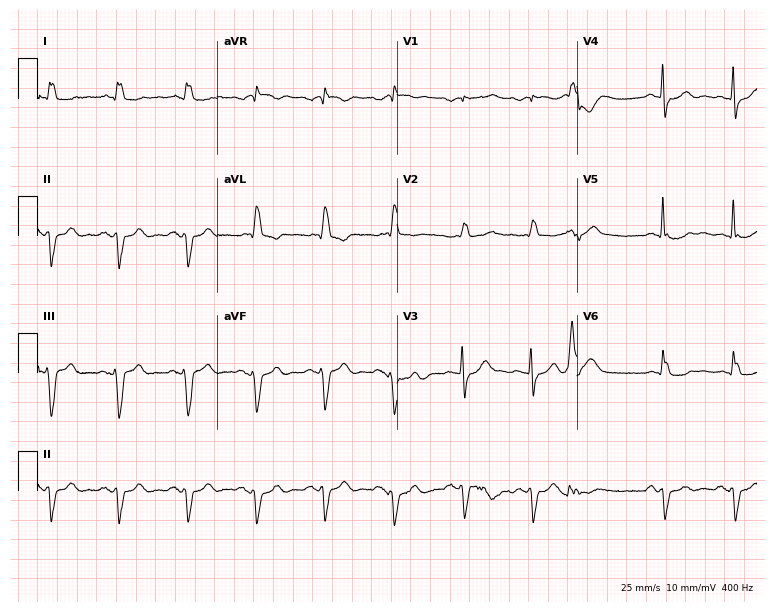
Resting 12-lead electrocardiogram. Patient: an 81-year-old male. None of these six findings is recorded: first-degree AV block, right bundle branch block, left bundle branch block, sinus bradycardia, atrial fibrillation, sinus tachycardia.